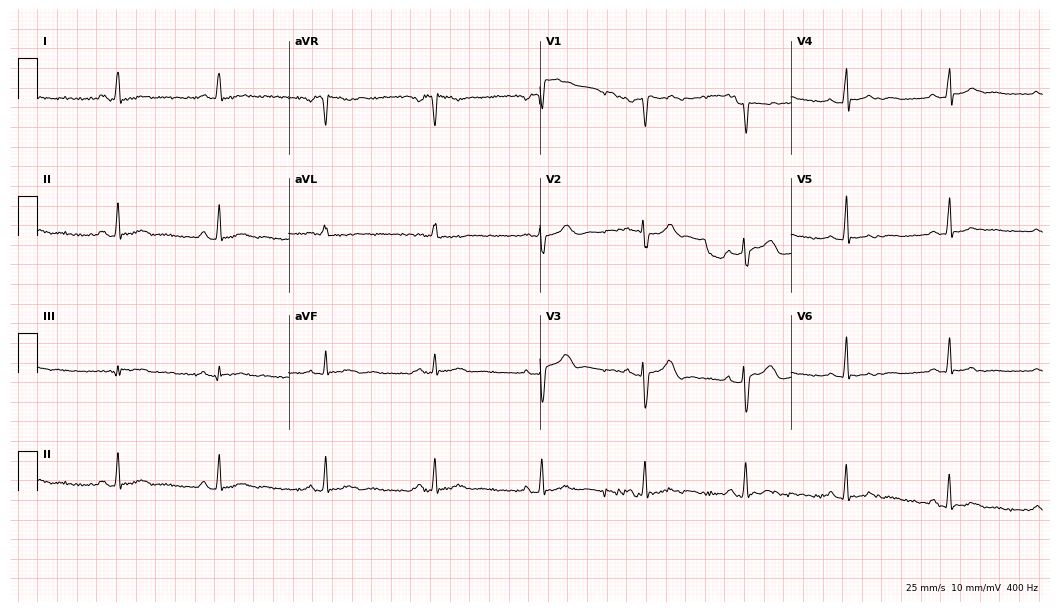
12-lead ECG from a female, 49 years old. No first-degree AV block, right bundle branch block (RBBB), left bundle branch block (LBBB), sinus bradycardia, atrial fibrillation (AF) or sinus tachycardia recorded for this tracing. Findings outside these six are not listed.